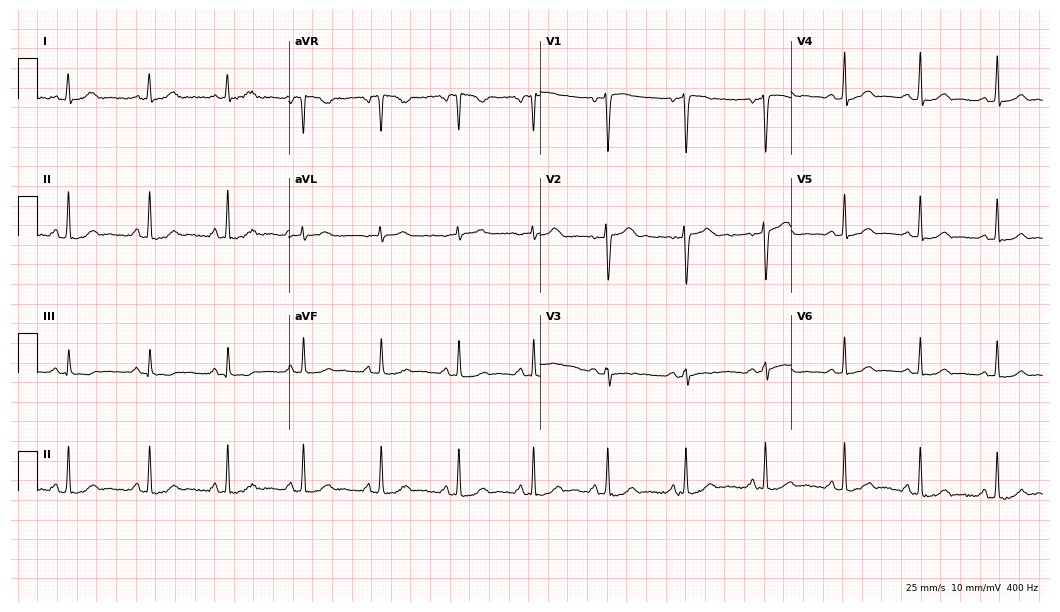
12-lead ECG from a 32-year-old female patient. Labelled as a normal ECG.